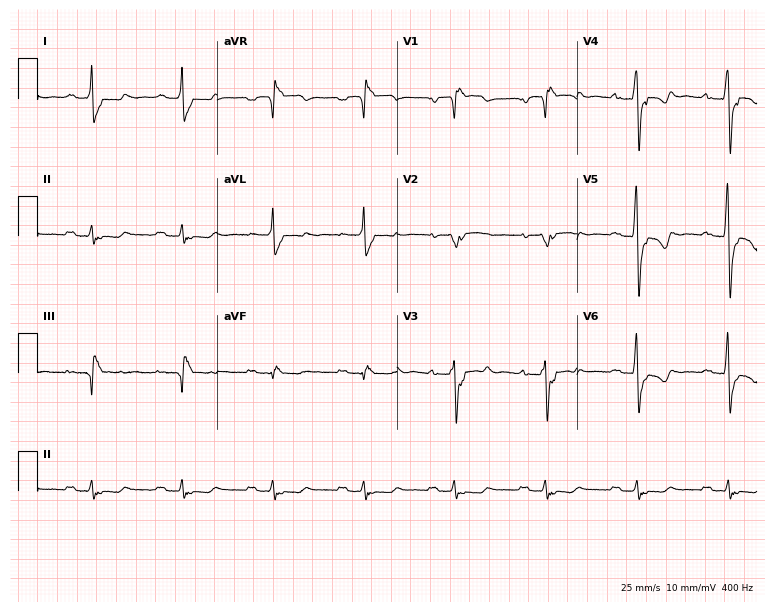
Resting 12-lead electrocardiogram (7.3-second recording at 400 Hz). Patient: a man, 76 years old. The tracing shows first-degree AV block, right bundle branch block (RBBB).